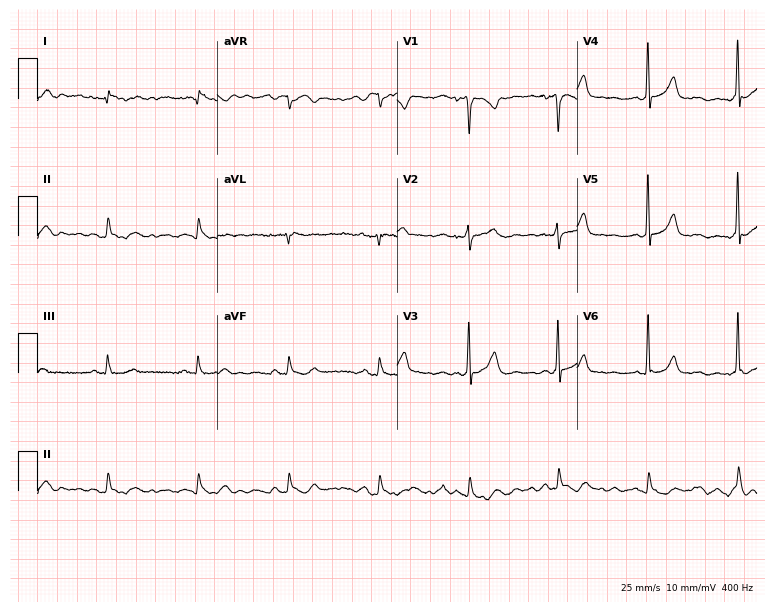
12-lead ECG from a male patient, 75 years old. No first-degree AV block, right bundle branch block (RBBB), left bundle branch block (LBBB), sinus bradycardia, atrial fibrillation (AF) or sinus tachycardia recorded for this tracing. Other findings, if any, are not listed.